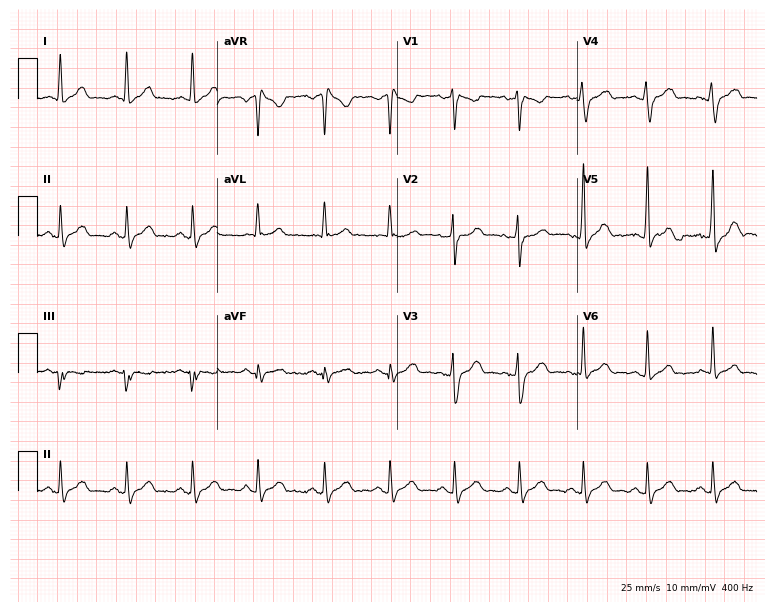
Resting 12-lead electrocardiogram. Patient: a man, 55 years old. None of these six findings is recorded: first-degree AV block, right bundle branch block, left bundle branch block, sinus bradycardia, atrial fibrillation, sinus tachycardia. Only these six findings were labelled.